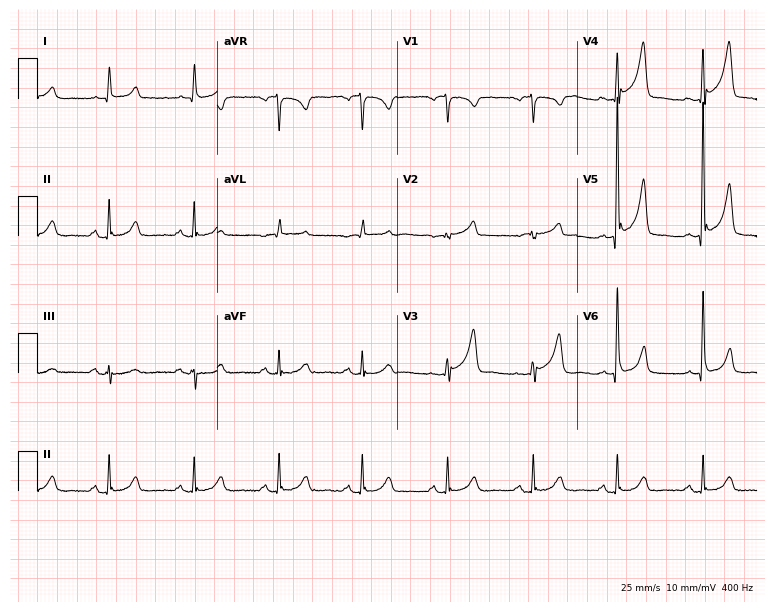
12-lead ECG from a 77-year-old male patient. No first-degree AV block, right bundle branch block (RBBB), left bundle branch block (LBBB), sinus bradycardia, atrial fibrillation (AF) or sinus tachycardia recorded for this tracing. Findings outside these six are not listed.